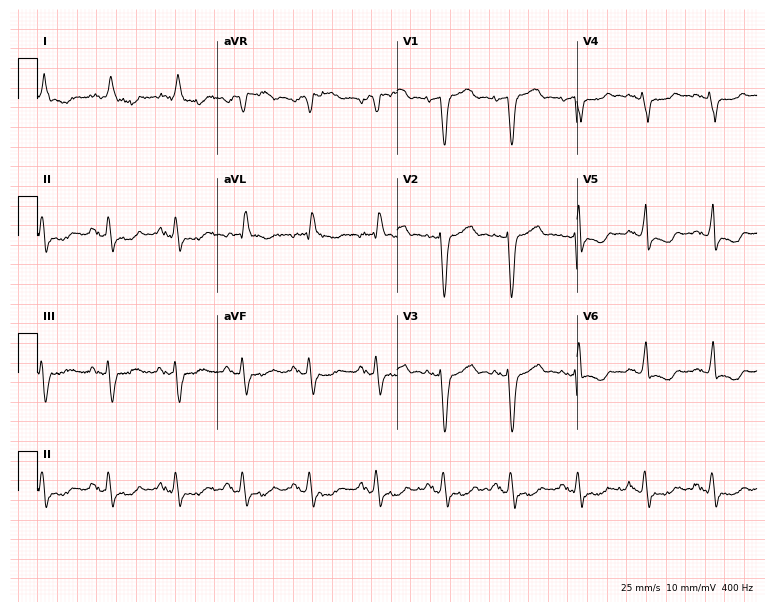
12-lead ECG from a 70-year-old female patient (7.3-second recording at 400 Hz). No first-degree AV block, right bundle branch block (RBBB), left bundle branch block (LBBB), sinus bradycardia, atrial fibrillation (AF) or sinus tachycardia recorded for this tracing. Only these six findings were labelled.